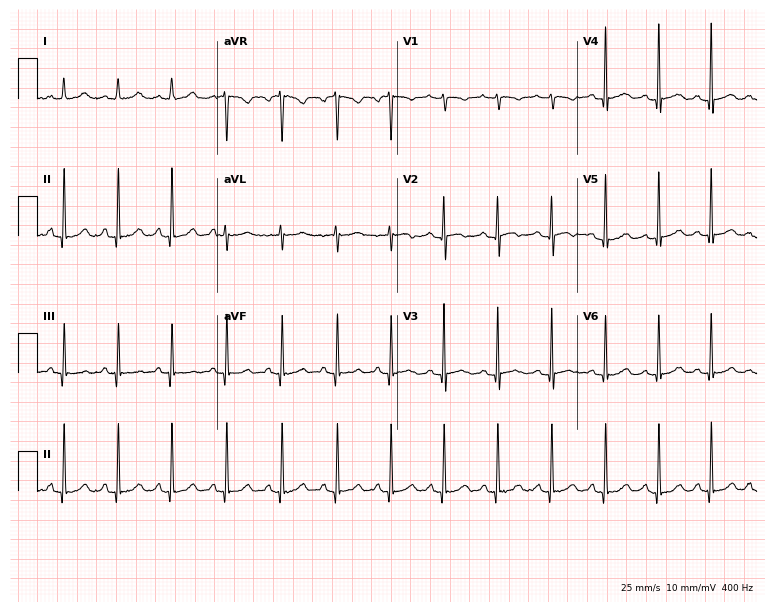
12-lead ECG from a female patient, 21 years old. Findings include sinus tachycardia (a sinus rate of 100 beats per minute or more).